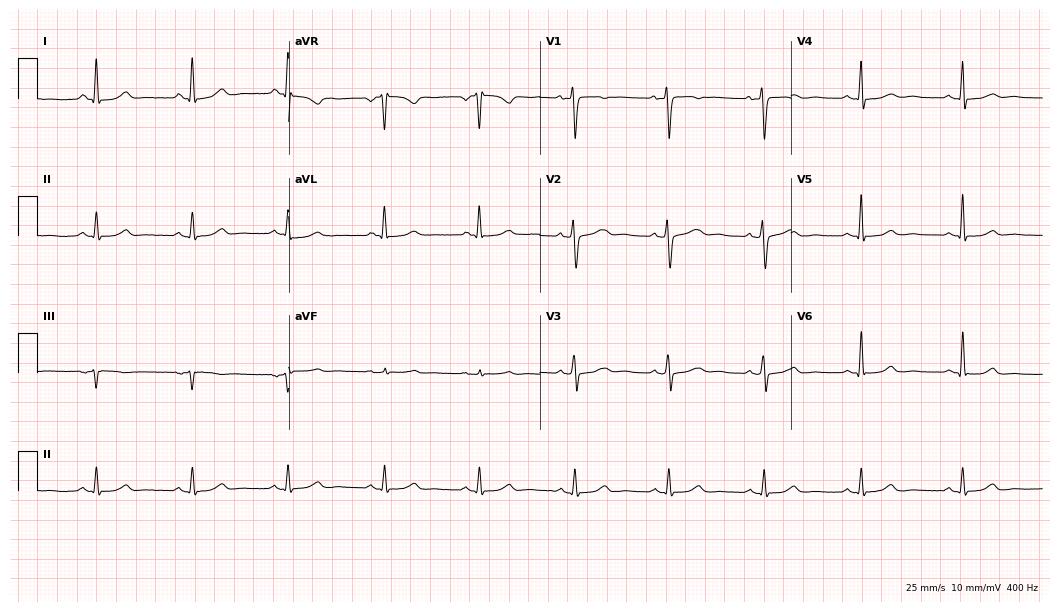
12-lead ECG (10.2-second recording at 400 Hz) from a female, 49 years old. Screened for six findings — first-degree AV block, right bundle branch block, left bundle branch block, sinus bradycardia, atrial fibrillation, sinus tachycardia — none is recorded.